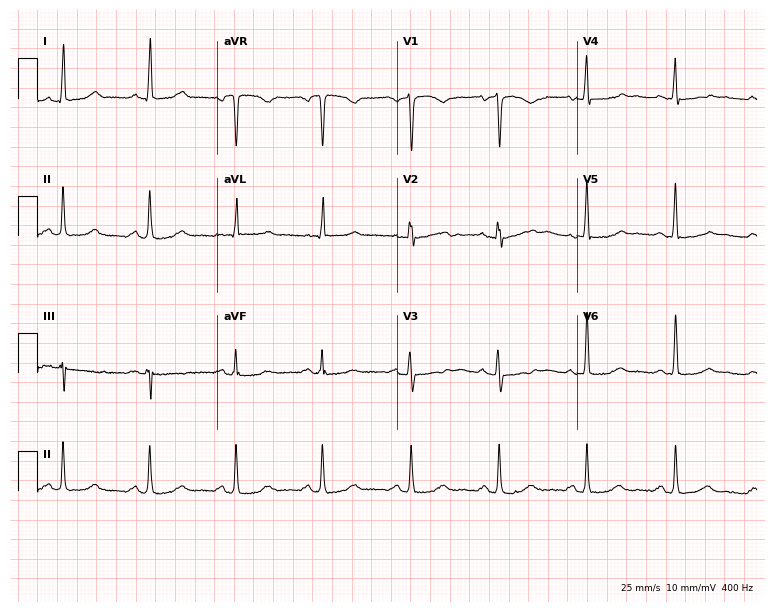
Resting 12-lead electrocardiogram (7.3-second recording at 400 Hz). Patient: a 47-year-old woman. None of these six findings is recorded: first-degree AV block, right bundle branch block (RBBB), left bundle branch block (LBBB), sinus bradycardia, atrial fibrillation (AF), sinus tachycardia.